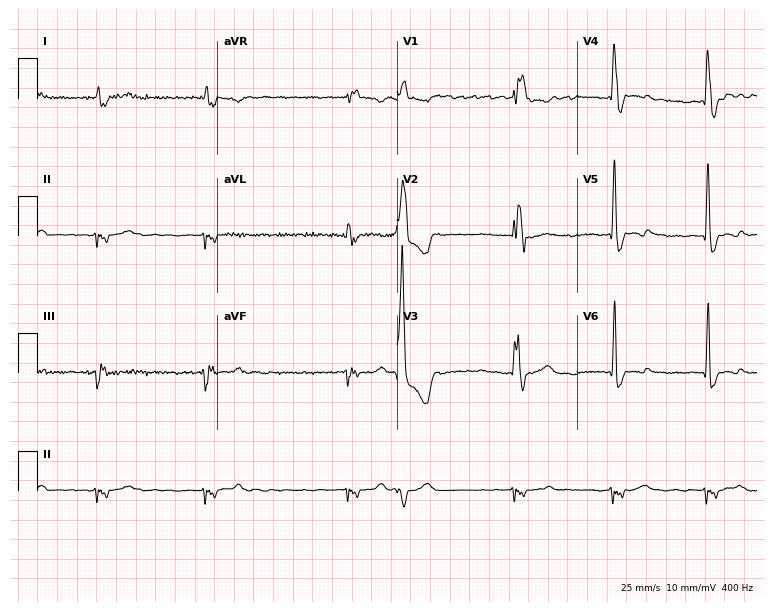
ECG (7.3-second recording at 400 Hz) — a 62-year-old man. Findings include right bundle branch block (RBBB), atrial fibrillation (AF).